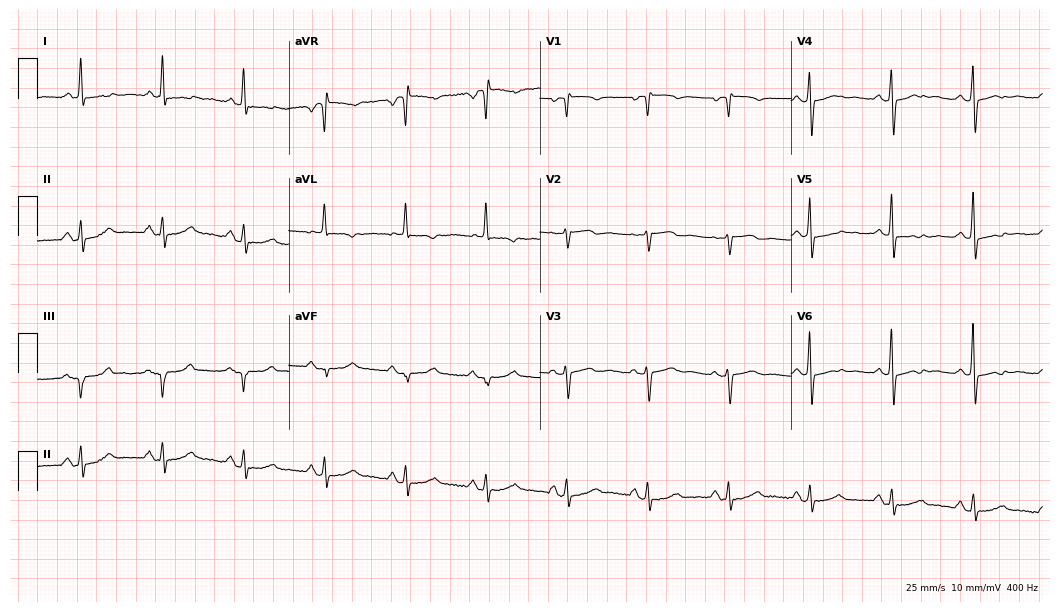
12-lead ECG from a 76-year-old female. No first-degree AV block, right bundle branch block (RBBB), left bundle branch block (LBBB), sinus bradycardia, atrial fibrillation (AF) or sinus tachycardia recorded for this tracing. Findings outside these six are not listed.